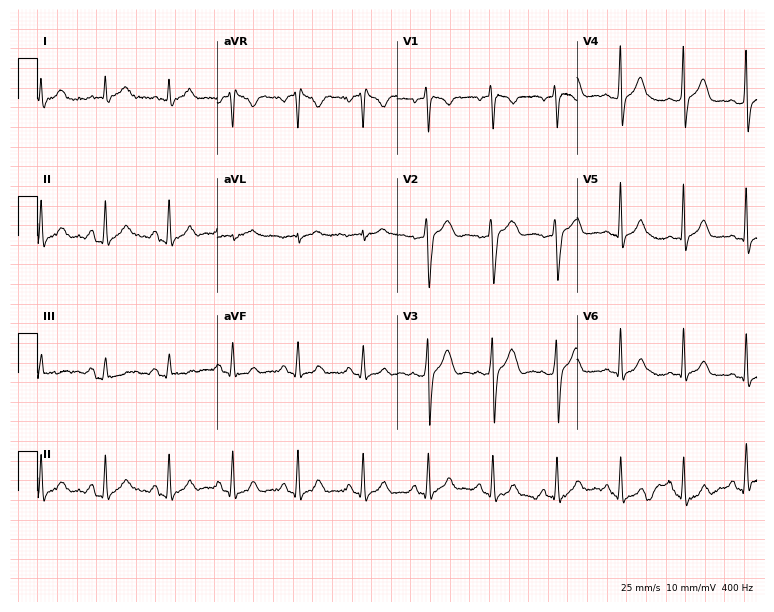
12-lead ECG (7.3-second recording at 400 Hz) from a man, 24 years old. Labelled as a normal ECG.